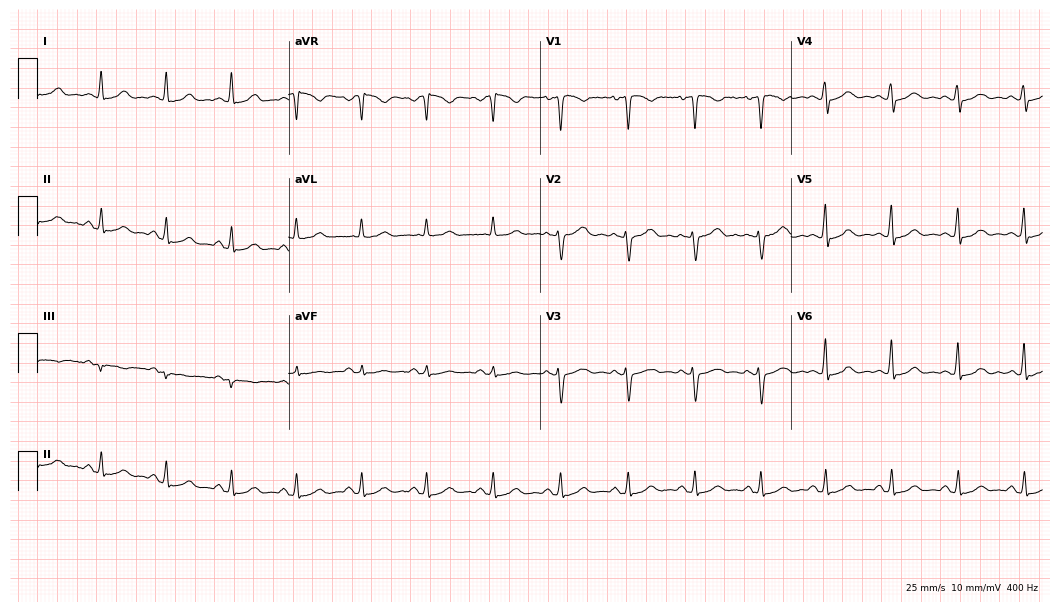
Resting 12-lead electrocardiogram. Patient: a female, 33 years old. None of these six findings is recorded: first-degree AV block, right bundle branch block, left bundle branch block, sinus bradycardia, atrial fibrillation, sinus tachycardia.